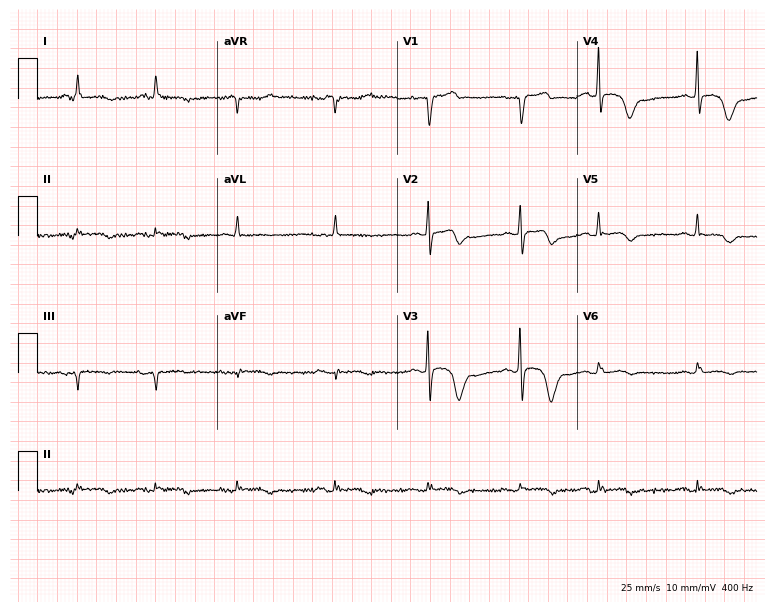
Resting 12-lead electrocardiogram (7.3-second recording at 400 Hz). Patient: an 80-year-old male. Read as a normal ECG.